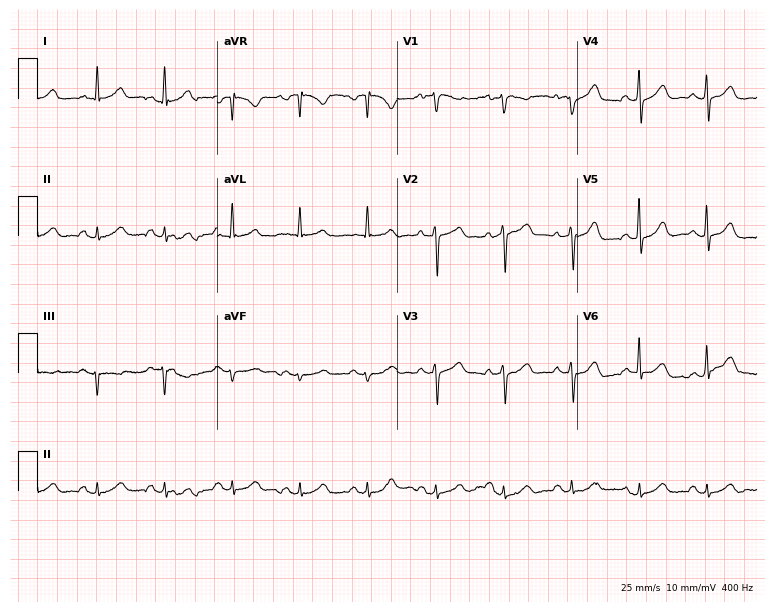
Standard 12-lead ECG recorded from an 80-year-old male patient. Read as a normal ECG.